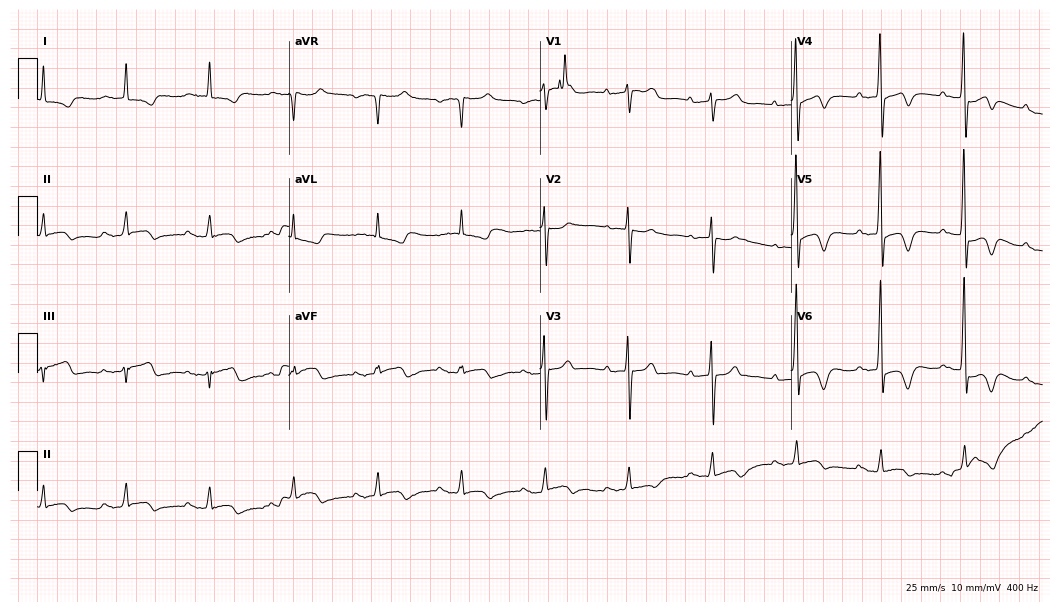
Electrocardiogram, a 28-year-old man. Interpretation includes first-degree AV block.